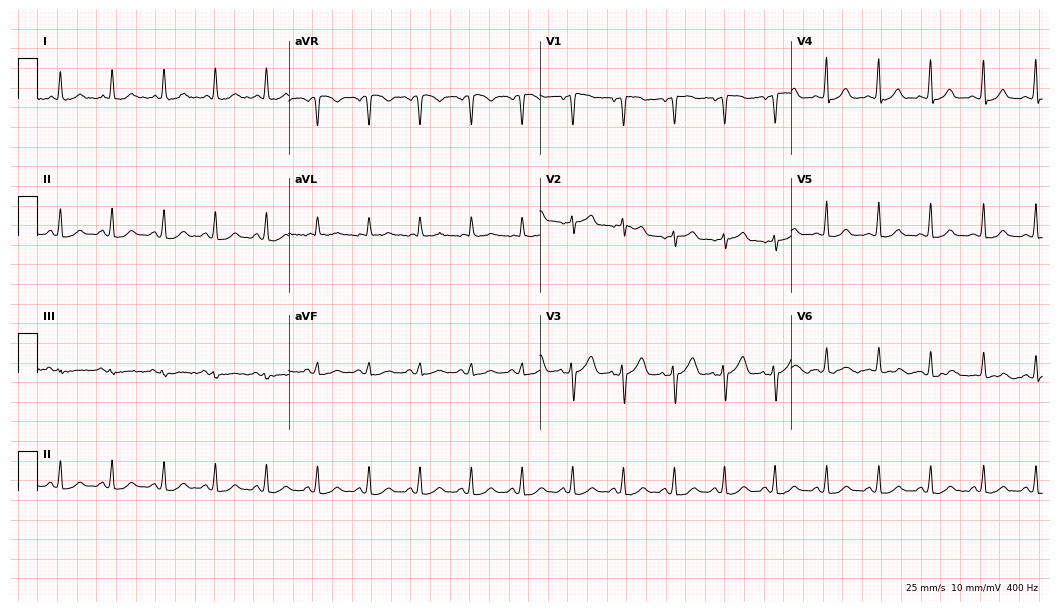
12-lead ECG from a 45-year-old woman. Findings include sinus tachycardia (a sinus rate of 100 beats per minute or more).